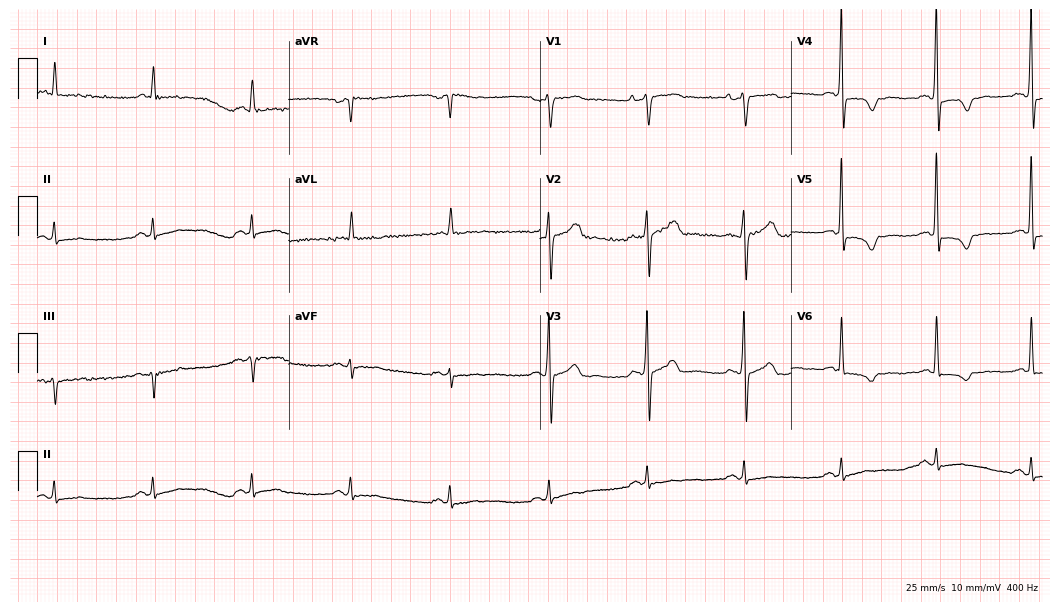
12-lead ECG (10.2-second recording at 400 Hz) from a 78-year-old male. Screened for six findings — first-degree AV block, right bundle branch block (RBBB), left bundle branch block (LBBB), sinus bradycardia, atrial fibrillation (AF), sinus tachycardia — none is recorded.